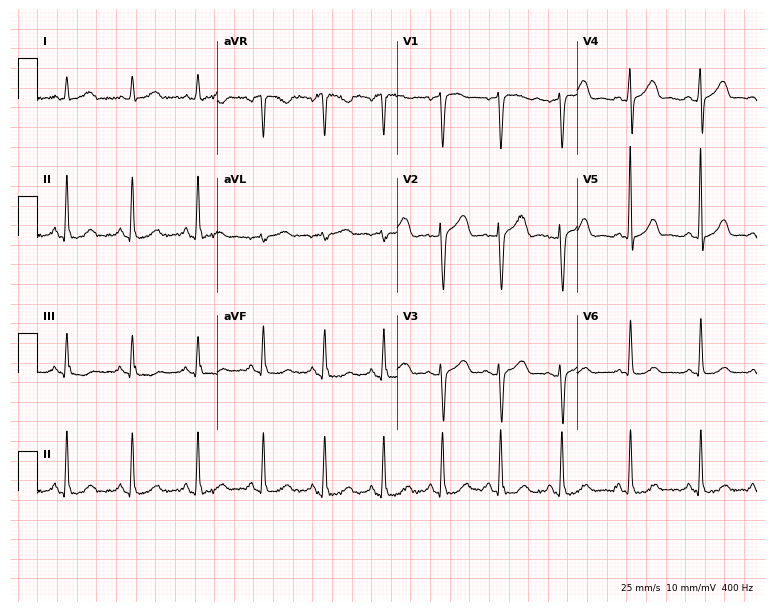
ECG — a female patient, 43 years old. Screened for six findings — first-degree AV block, right bundle branch block, left bundle branch block, sinus bradycardia, atrial fibrillation, sinus tachycardia — none is recorded.